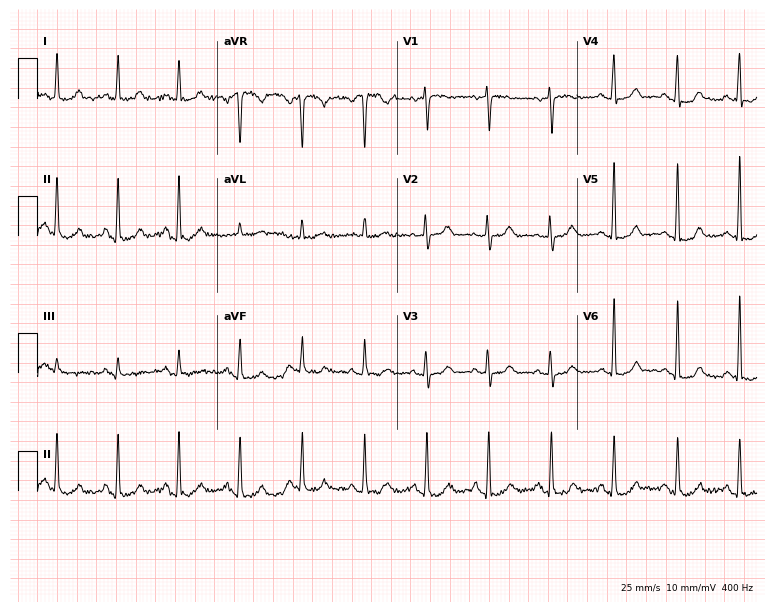
ECG (7.3-second recording at 400 Hz) — an 83-year-old woman. Screened for six findings — first-degree AV block, right bundle branch block, left bundle branch block, sinus bradycardia, atrial fibrillation, sinus tachycardia — none is recorded.